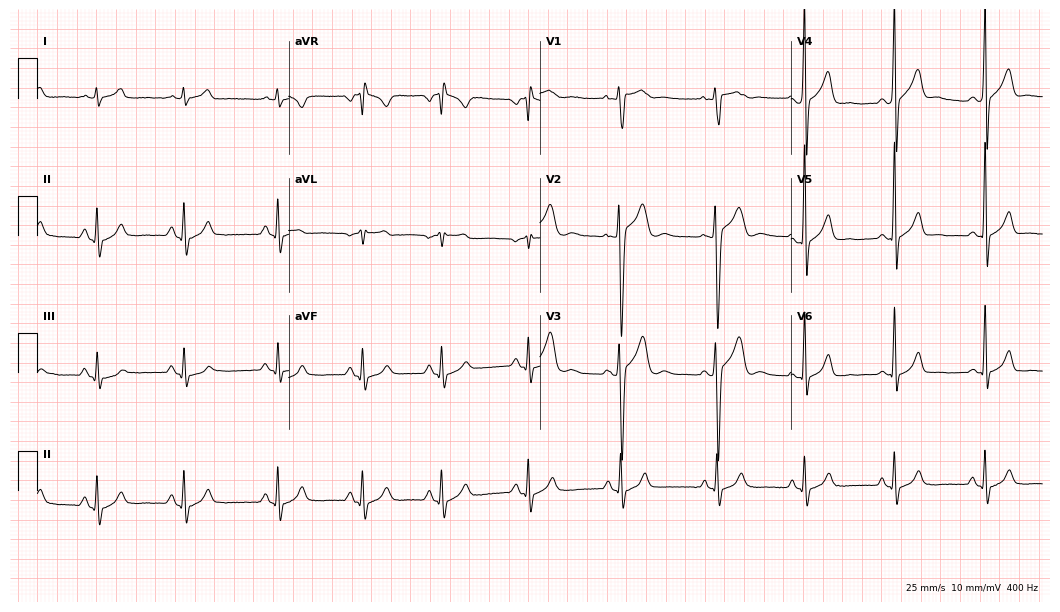
Electrocardiogram, a male patient, 21 years old. Of the six screened findings (first-degree AV block, right bundle branch block, left bundle branch block, sinus bradycardia, atrial fibrillation, sinus tachycardia), none is recorded. Only these six findings were labelled.